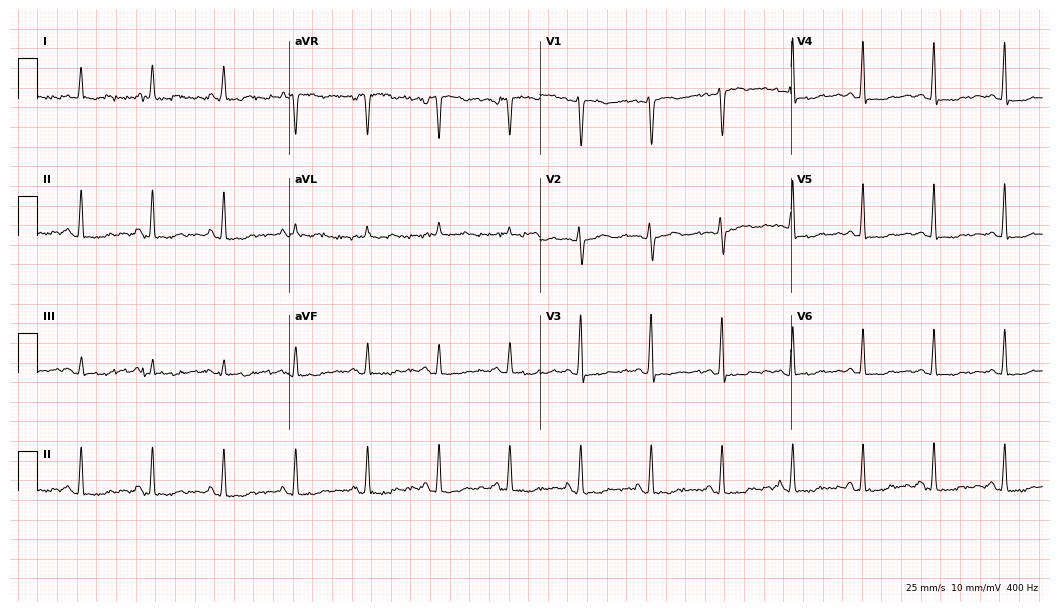
ECG — a 46-year-old man. Screened for six findings — first-degree AV block, right bundle branch block, left bundle branch block, sinus bradycardia, atrial fibrillation, sinus tachycardia — none is recorded. Only these six findings were labelled.